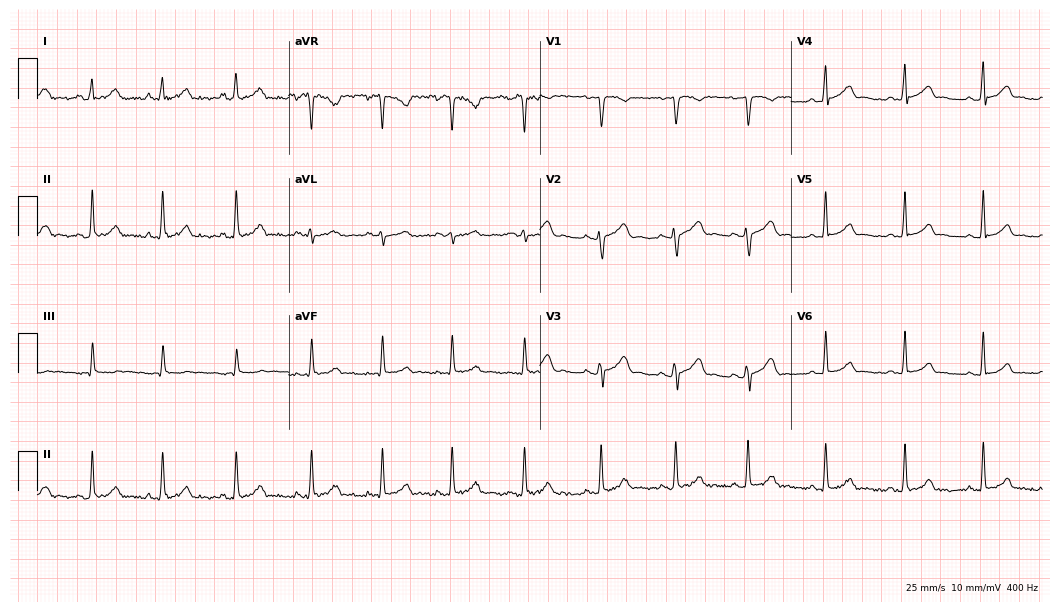
Resting 12-lead electrocardiogram (10.2-second recording at 400 Hz). Patient: a 26-year-old female. None of these six findings is recorded: first-degree AV block, right bundle branch block, left bundle branch block, sinus bradycardia, atrial fibrillation, sinus tachycardia. Other findings, if any, are not listed.